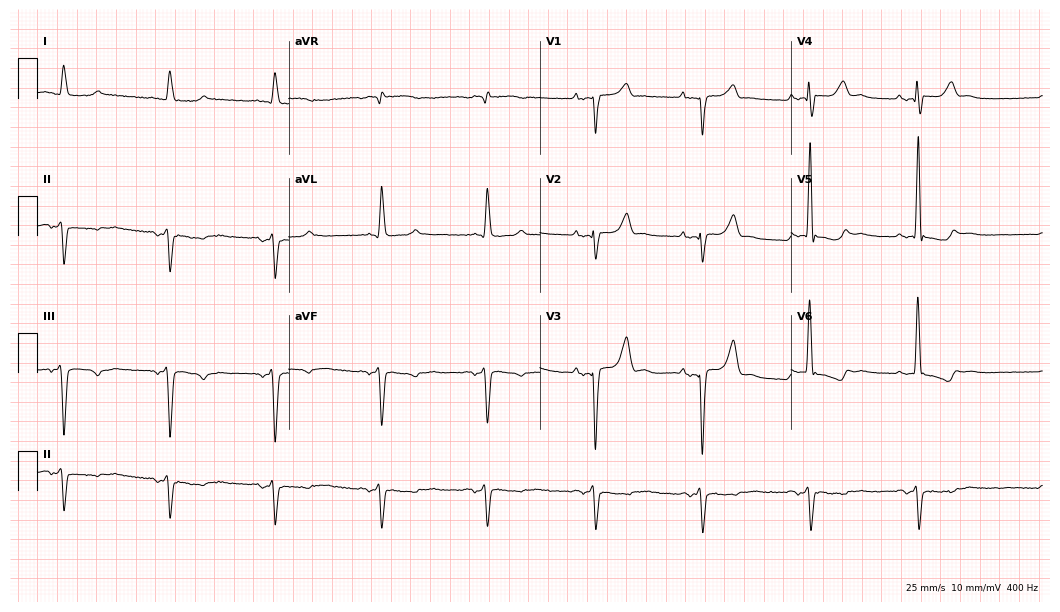
Resting 12-lead electrocardiogram. Patient: a male, 79 years old. None of these six findings is recorded: first-degree AV block, right bundle branch block, left bundle branch block, sinus bradycardia, atrial fibrillation, sinus tachycardia. Other findings, if any, are not listed.